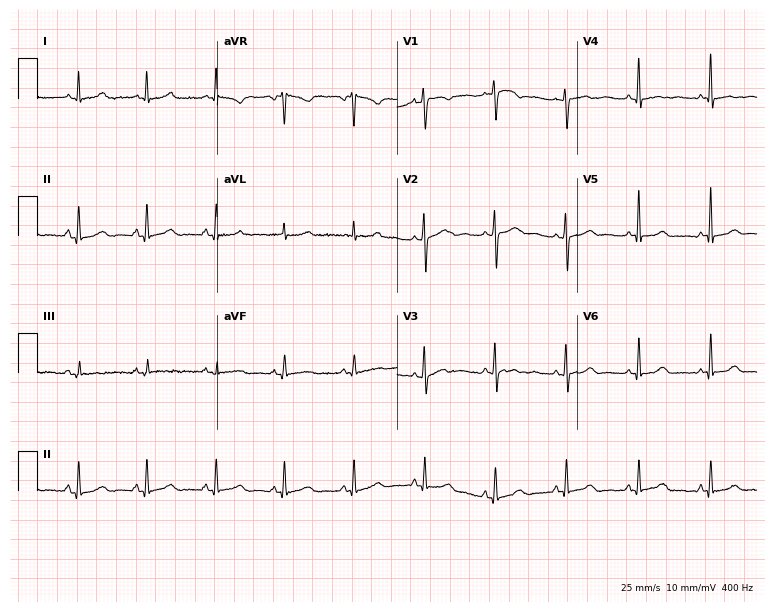
Standard 12-lead ECG recorded from a woman, 49 years old (7.3-second recording at 400 Hz). None of these six findings is recorded: first-degree AV block, right bundle branch block, left bundle branch block, sinus bradycardia, atrial fibrillation, sinus tachycardia.